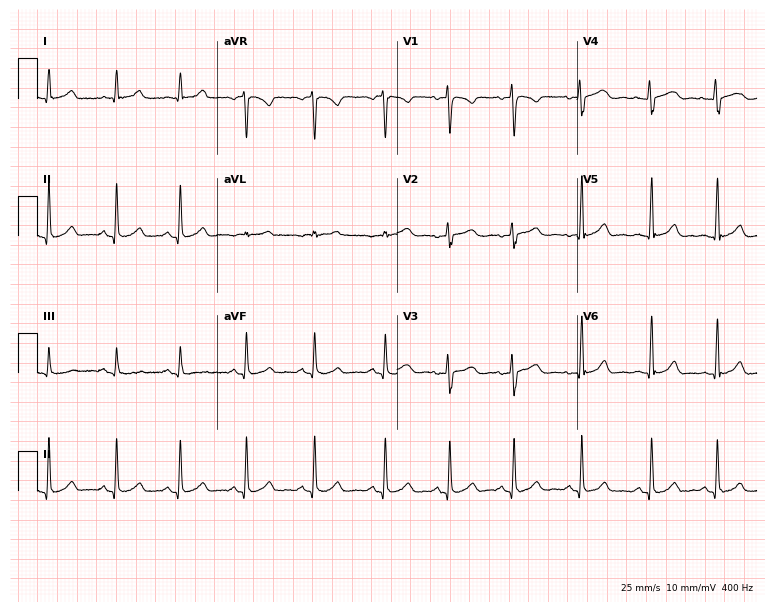
12-lead ECG from a female patient, 30 years old. Recorded interpretation: within normal limits.